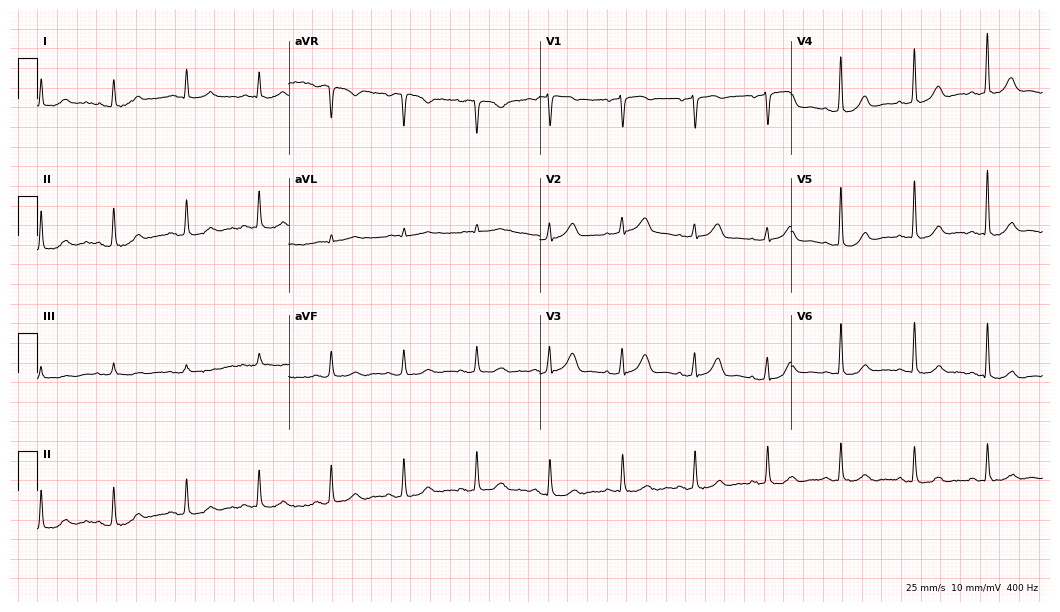
ECG — a male patient, 83 years old. Labelled as a normal ECG.